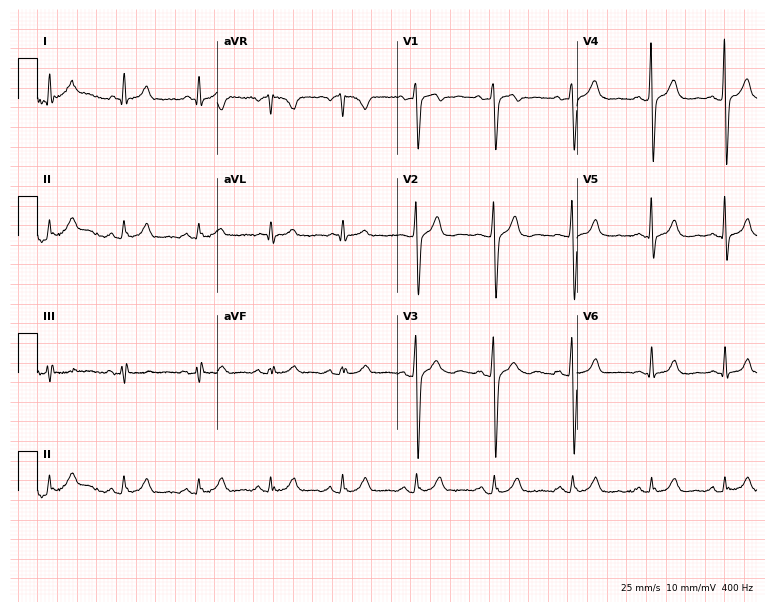
12-lead ECG from a male patient, 23 years old (7.3-second recording at 400 Hz). No first-degree AV block, right bundle branch block, left bundle branch block, sinus bradycardia, atrial fibrillation or sinus tachycardia recorded for this tracing. Other findings, if any, are not listed.